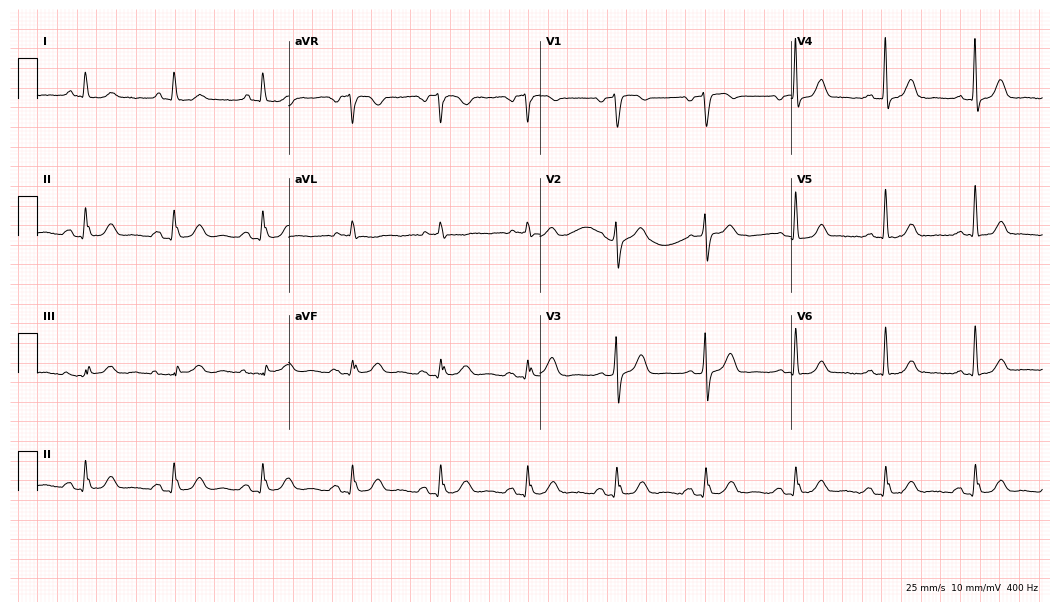
12-lead ECG from a 73-year-old man. No first-degree AV block, right bundle branch block (RBBB), left bundle branch block (LBBB), sinus bradycardia, atrial fibrillation (AF) or sinus tachycardia recorded for this tracing. Findings outside these six are not listed.